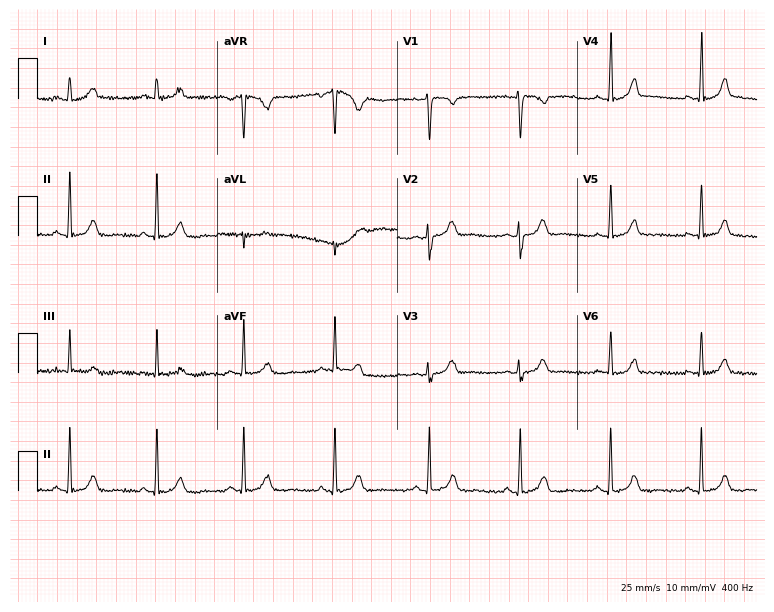
Resting 12-lead electrocardiogram. Patient: a female, 22 years old. None of these six findings is recorded: first-degree AV block, right bundle branch block (RBBB), left bundle branch block (LBBB), sinus bradycardia, atrial fibrillation (AF), sinus tachycardia.